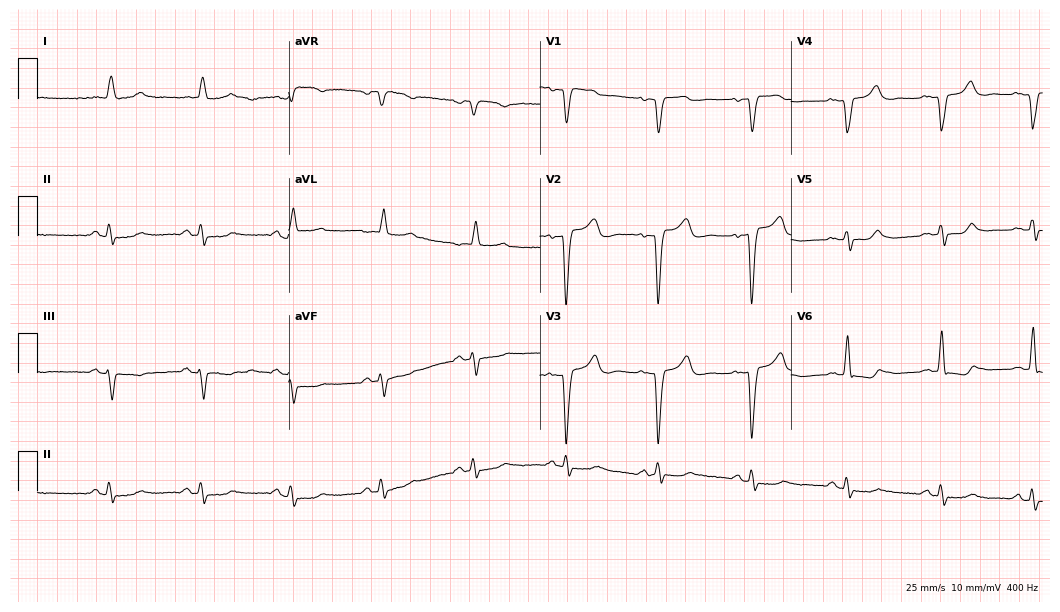
Resting 12-lead electrocardiogram. Patient: a 78-year-old woman. Read as a normal ECG.